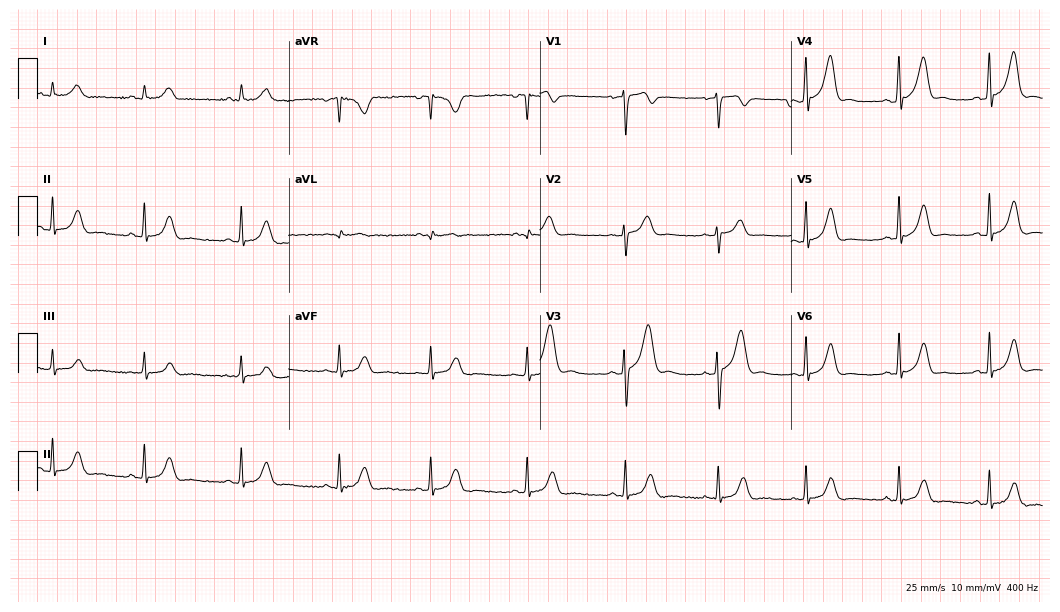
Standard 12-lead ECG recorded from a 19-year-old woman. Read as a normal ECG.